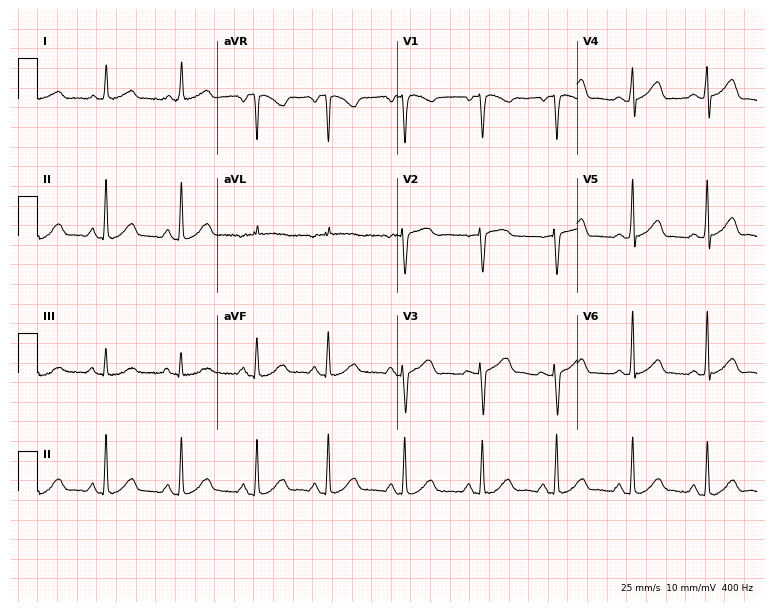
12-lead ECG from a 57-year-old female (7.3-second recording at 400 Hz). Recorded interpretation: within normal limits.